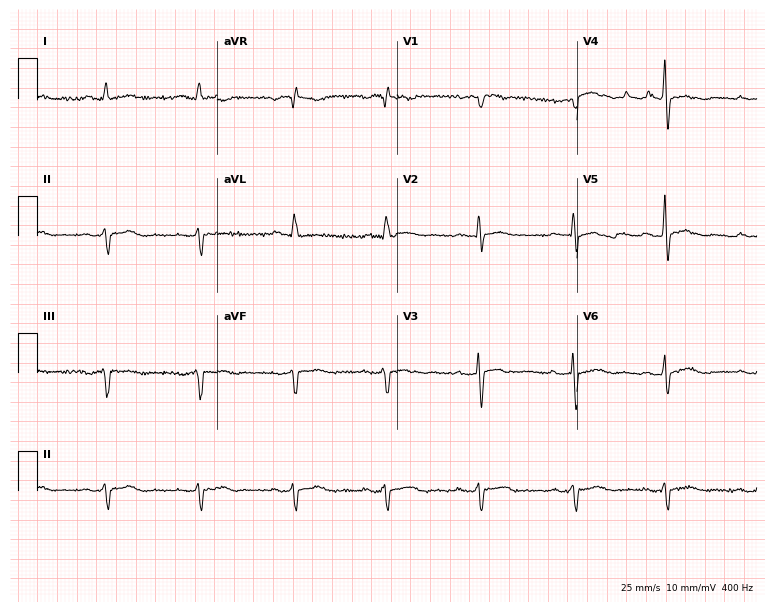
ECG — a male, 82 years old. Screened for six findings — first-degree AV block, right bundle branch block (RBBB), left bundle branch block (LBBB), sinus bradycardia, atrial fibrillation (AF), sinus tachycardia — none is recorded. Only these six findings were labelled.